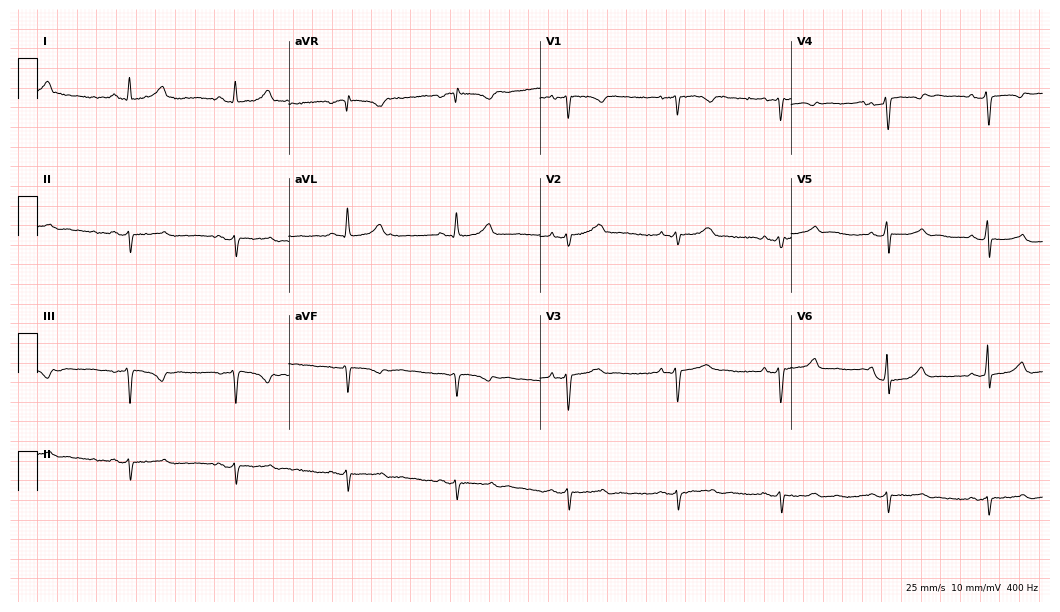
Standard 12-lead ECG recorded from a female patient, 46 years old (10.2-second recording at 400 Hz). None of these six findings is recorded: first-degree AV block, right bundle branch block, left bundle branch block, sinus bradycardia, atrial fibrillation, sinus tachycardia.